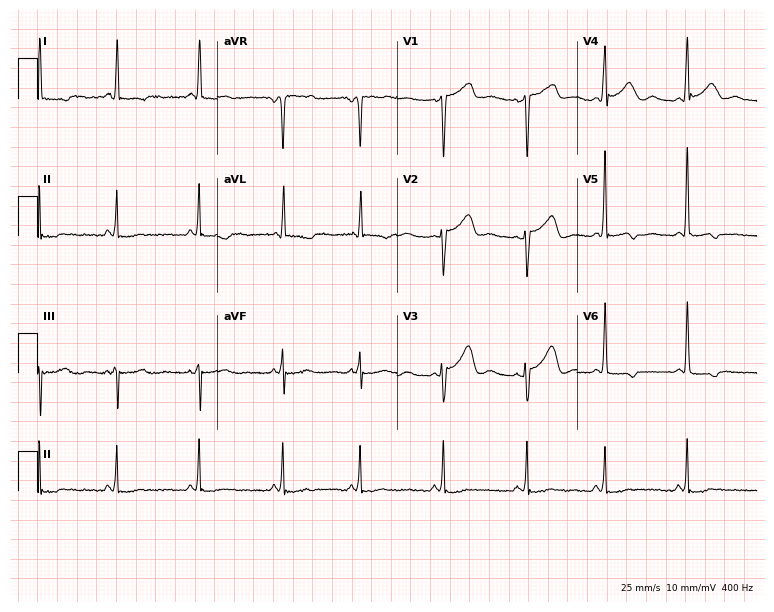
12-lead ECG from a woman, 62 years old. No first-degree AV block, right bundle branch block, left bundle branch block, sinus bradycardia, atrial fibrillation or sinus tachycardia recorded for this tracing.